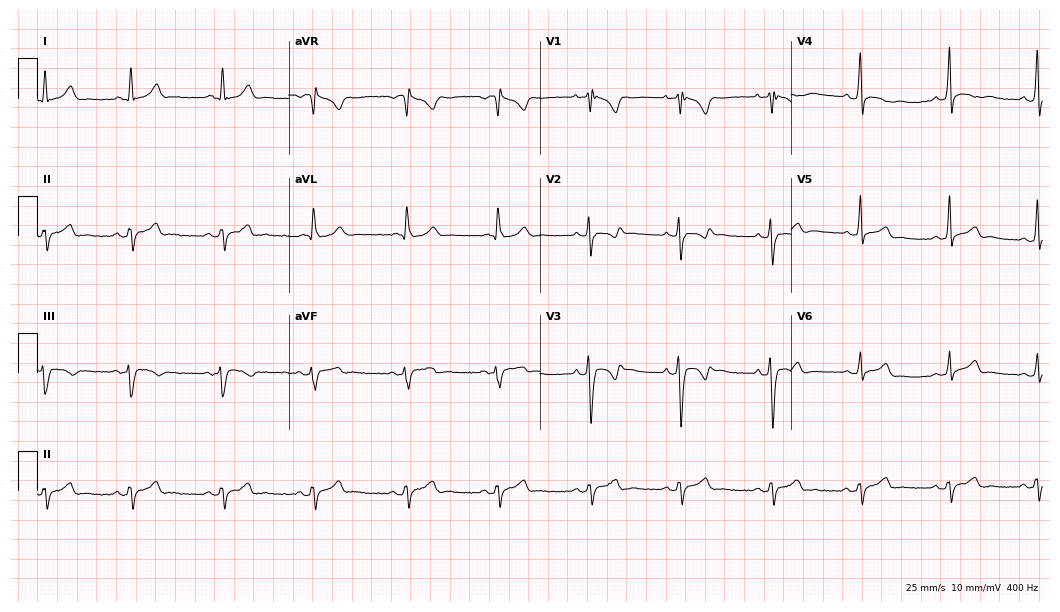
Electrocardiogram (10.2-second recording at 400 Hz), a male patient, 28 years old. Of the six screened findings (first-degree AV block, right bundle branch block, left bundle branch block, sinus bradycardia, atrial fibrillation, sinus tachycardia), none is recorded.